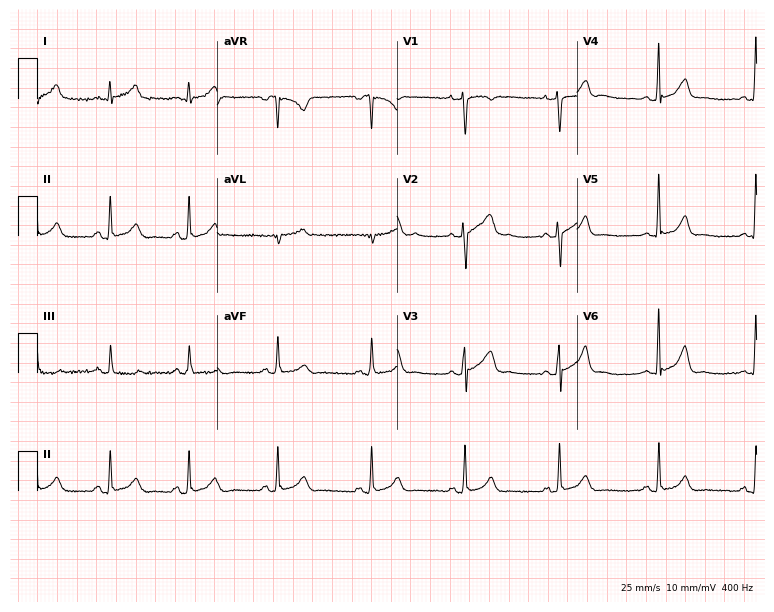
Resting 12-lead electrocardiogram (7.3-second recording at 400 Hz). Patient: a 21-year-old female. Read as a normal ECG.